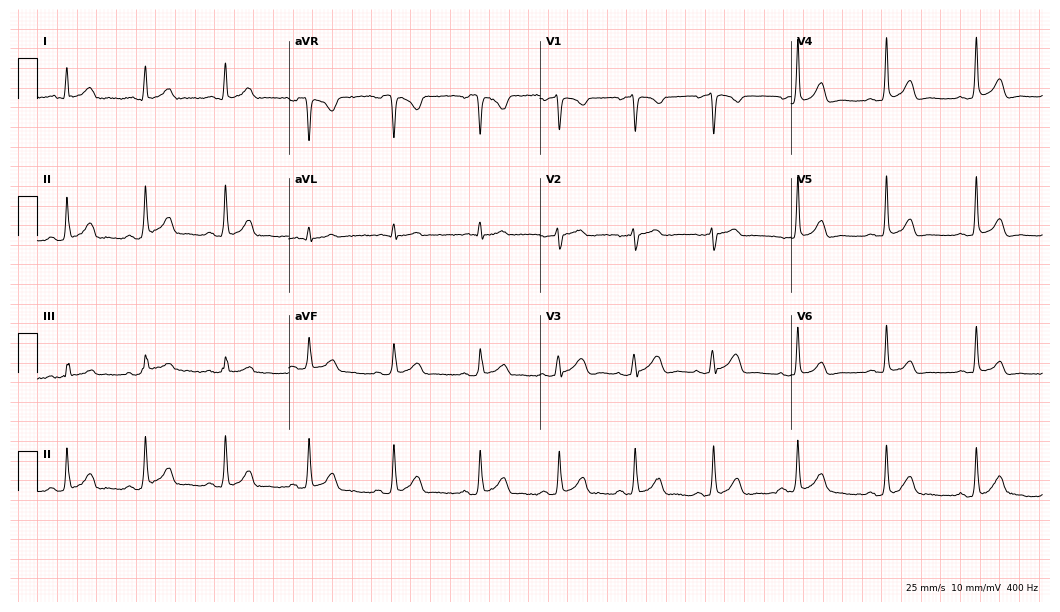
12-lead ECG from a female, 39 years old. No first-degree AV block, right bundle branch block, left bundle branch block, sinus bradycardia, atrial fibrillation or sinus tachycardia recorded for this tracing. Other findings, if any, are not listed.